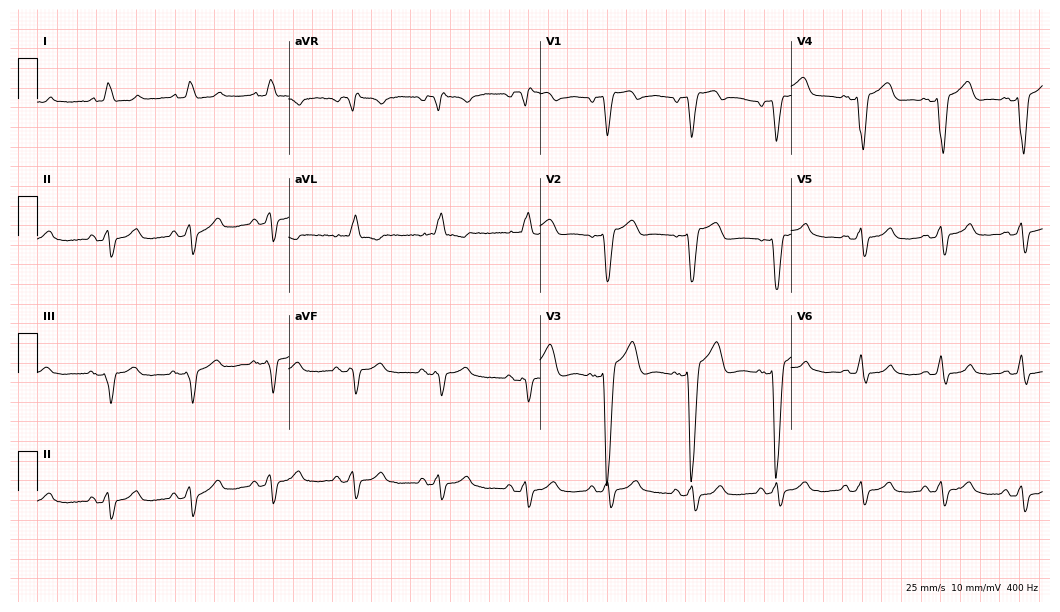
12-lead ECG from a female patient, 55 years old. Shows left bundle branch block (LBBB).